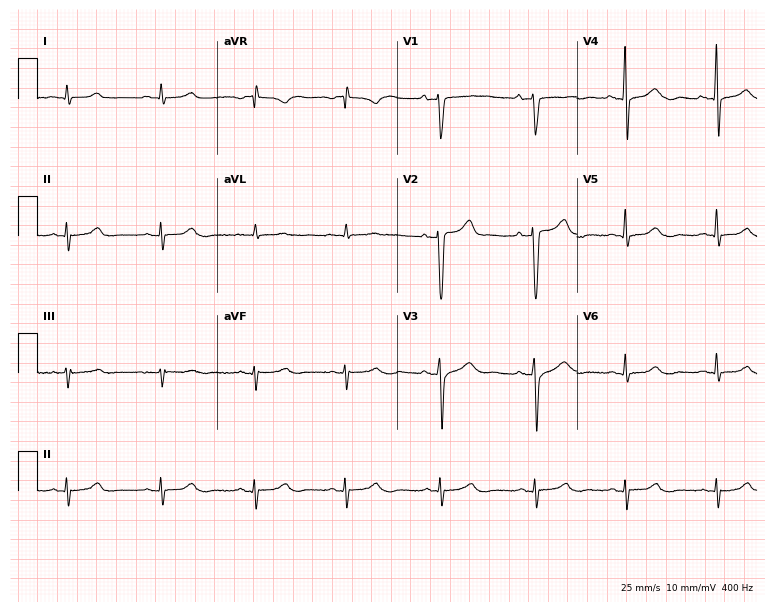
Standard 12-lead ECG recorded from a male patient, 55 years old. Read as a normal ECG.